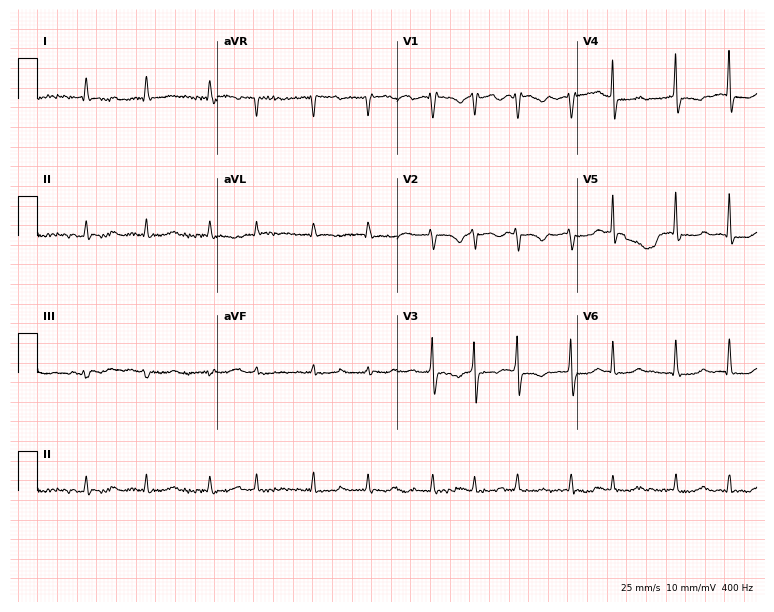
Electrocardiogram, a 68-year-old woman. Interpretation includes atrial fibrillation (AF).